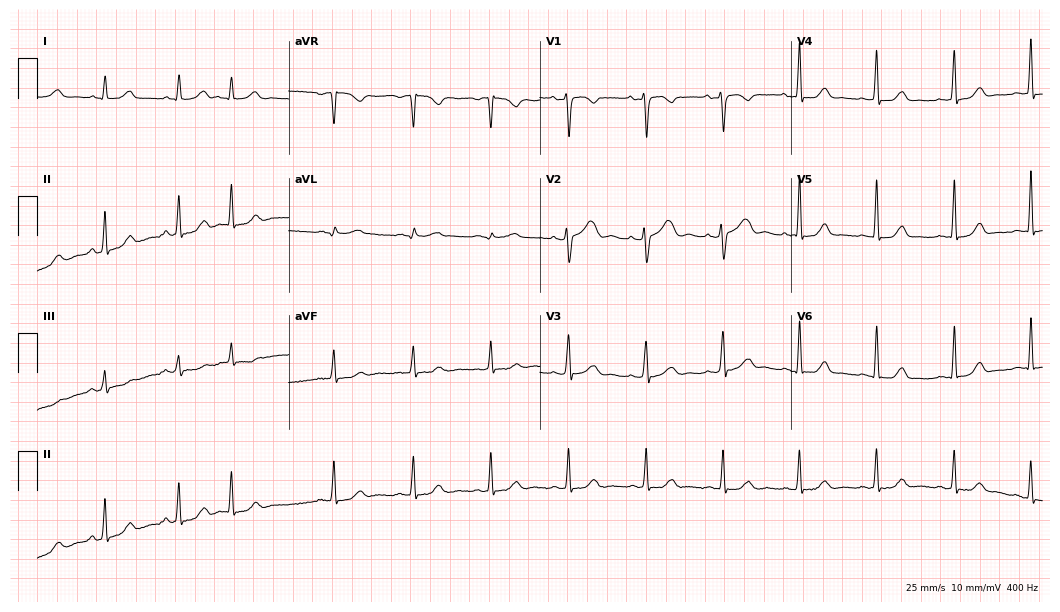
12-lead ECG from a 40-year-old female. No first-degree AV block, right bundle branch block, left bundle branch block, sinus bradycardia, atrial fibrillation or sinus tachycardia recorded for this tracing. Other findings, if any, are not listed.